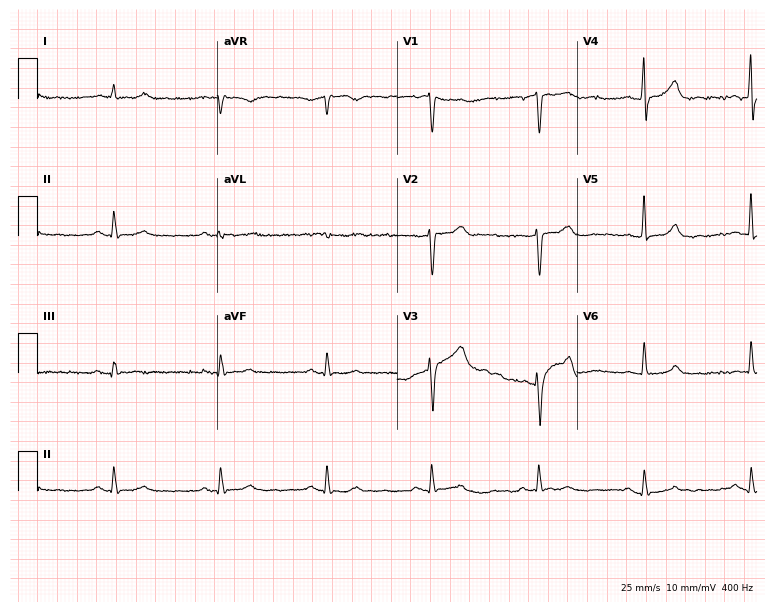
Resting 12-lead electrocardiogram. Patient: a male, 53 years old. None of these six findings is recorded: first-degree AV block, right bundle branch block, left bundle branch block, sinus bradycardia, atrial fibrillation, sinus tachycardia.